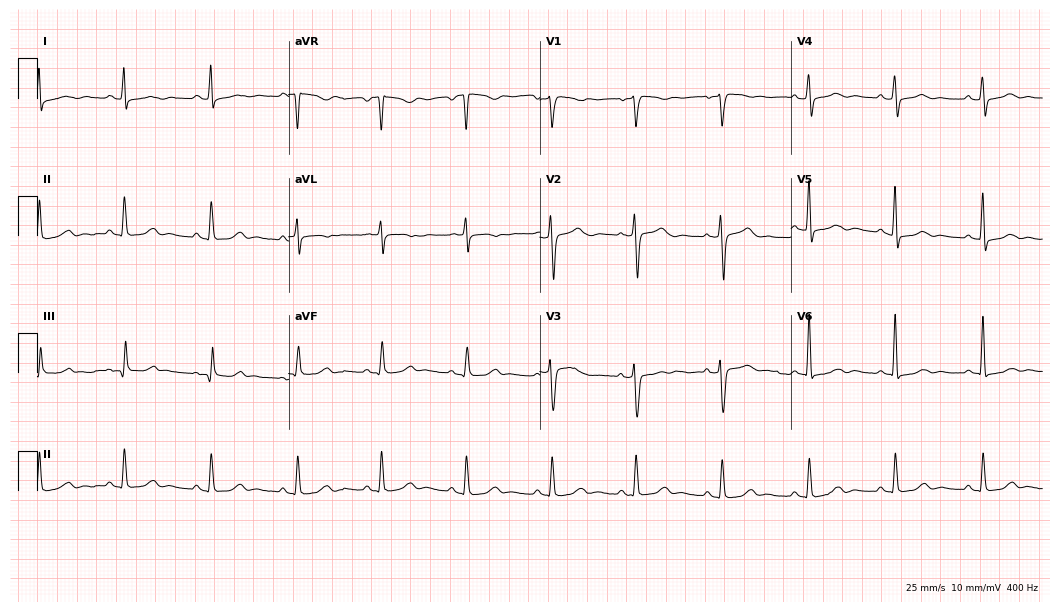
12-lead ECG from a 60-year-old female patient. Recorded interpretation: within normal limits.